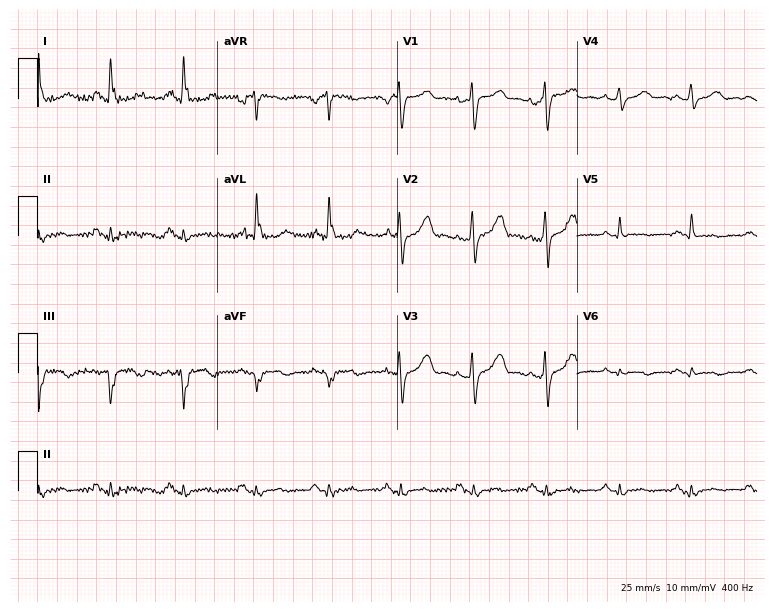
ECG — a woman, 54 years old. Screened for six findings — first-degree AV block, right bundle branch block (RBBB), left bundle branch block (LBBB), sinus bradycardia, atrial fibrillation (AF), sinus tachycardia — none is recorded. Only these six findings were labelled.